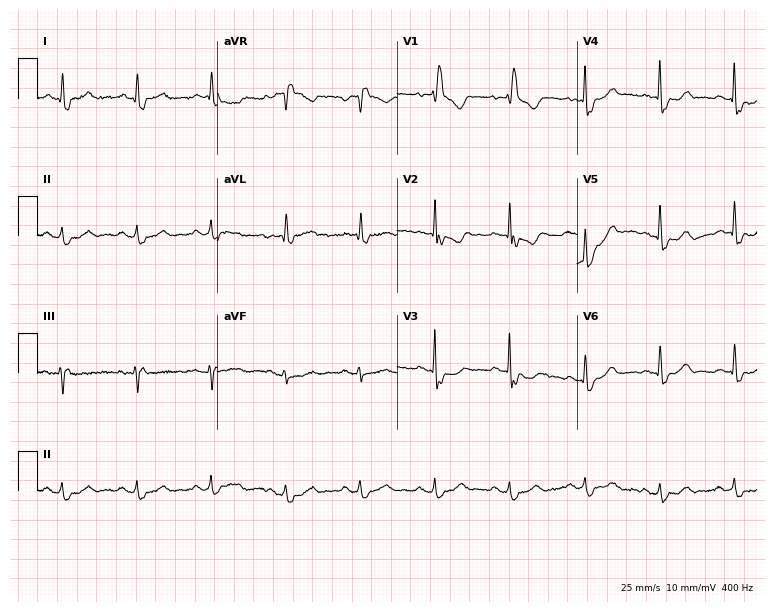
Standard 12-lead ECG recorded from an 84-year-old man. The tracing shows right bundle branch block.